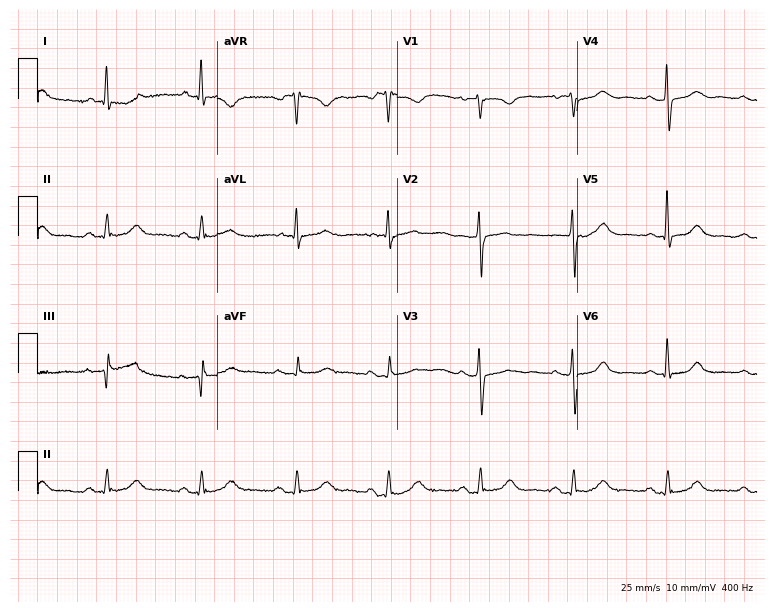
12-lead ECG from a 70-year-old female. Labelled as a normal ECG.